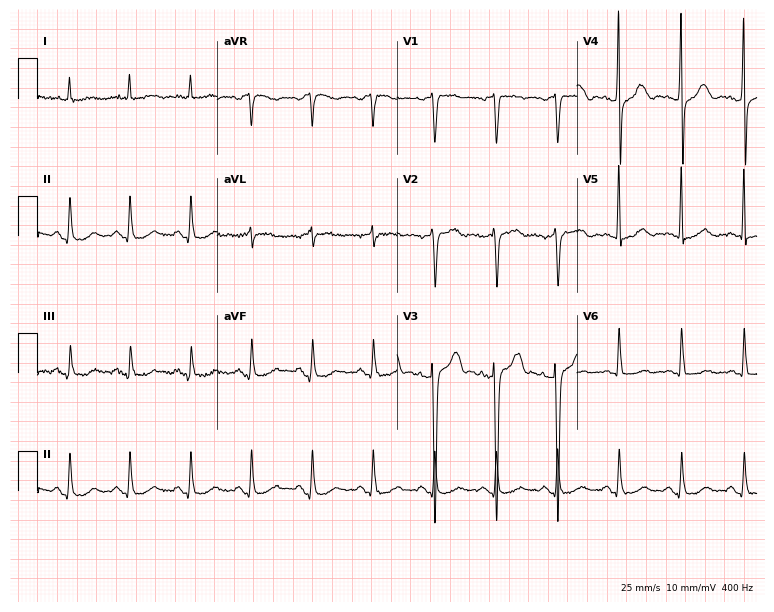
12-lead ECG (7.3-second recording at 400 Hz) from a male patient, 58 years old. Screened for six findings — first-degree AV block, right bundle branch block (RBBB), left bundle branch block (LBBB), sinus bradycardia, atrial fibrillation (AF), sinus tachycardia — none is recorded.